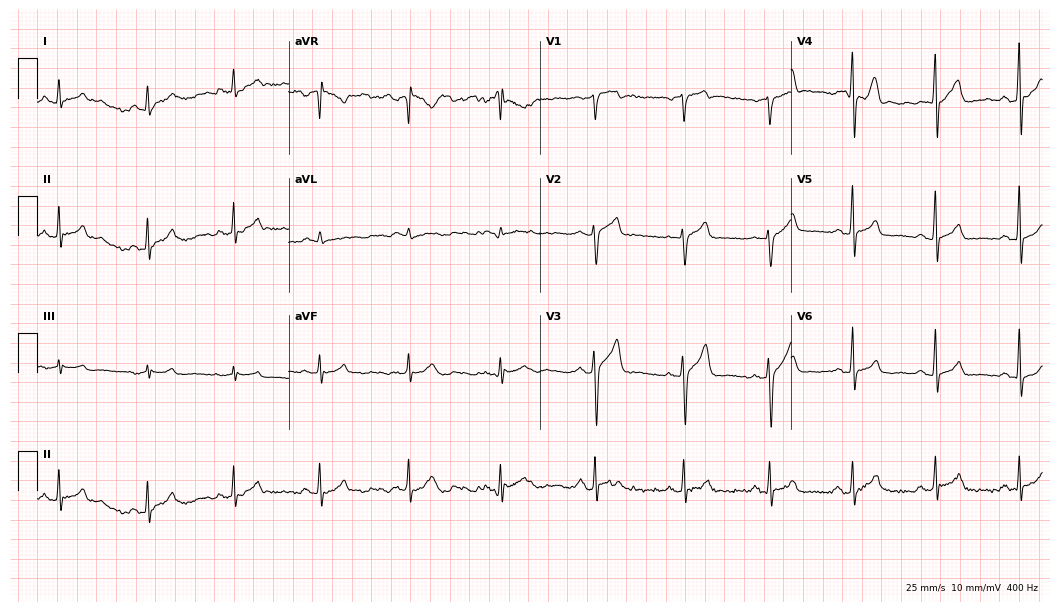
12-lead ECG from a male patient, 39 years old. Labelled as a normal ECG.